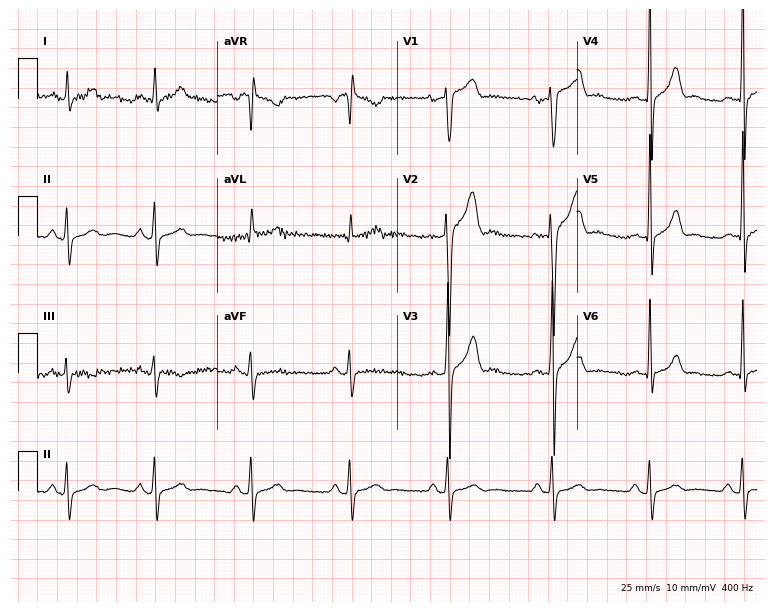
12-lead ECG from a 41-year-old male patient (7.3-second recording at 400 Hz). Recorded interpretation: within normal limits.